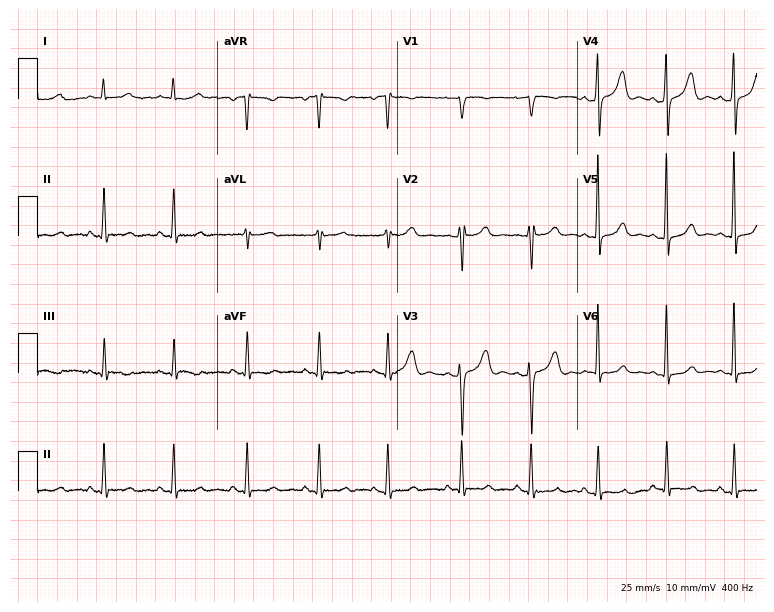
ECG — a female, 17 years old. Screened for six findings — first-degree AV block, right bundle branch block, left bundle branch block, sinus bradycardia, atrial fibrillation, sinus tachycardia — none is recorded.